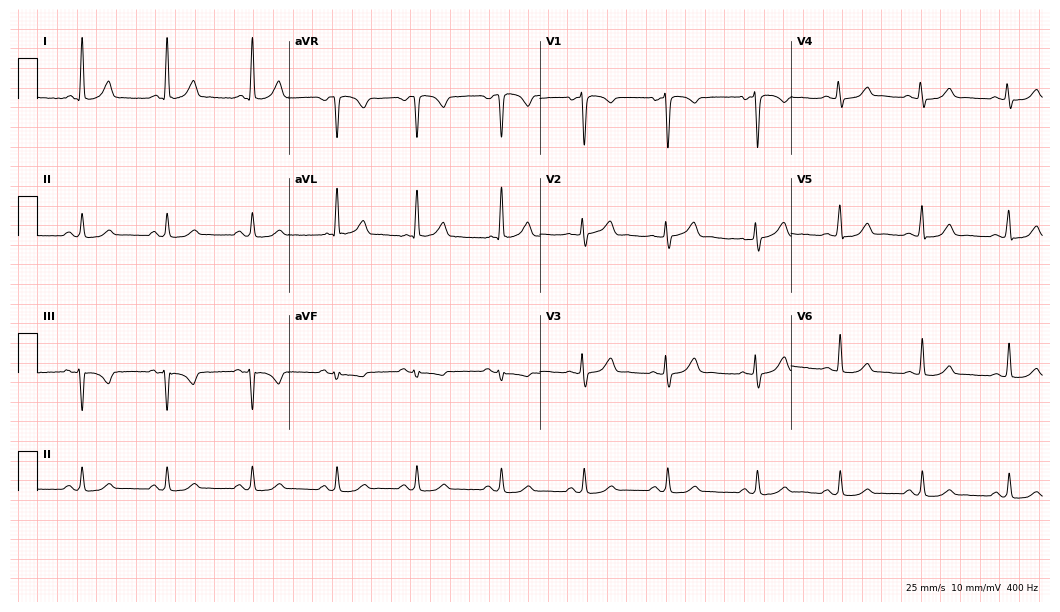
12-lead ECG from a 40-year-old female patient. Recorded interpretation: within normal limits.